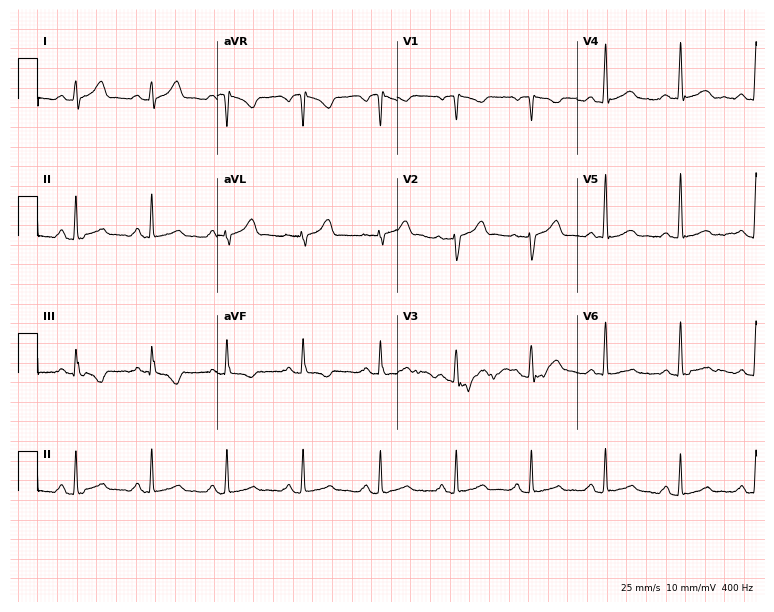
12-lead ECG from a 42-year-old man. Recorded interpretation: within normal limits.